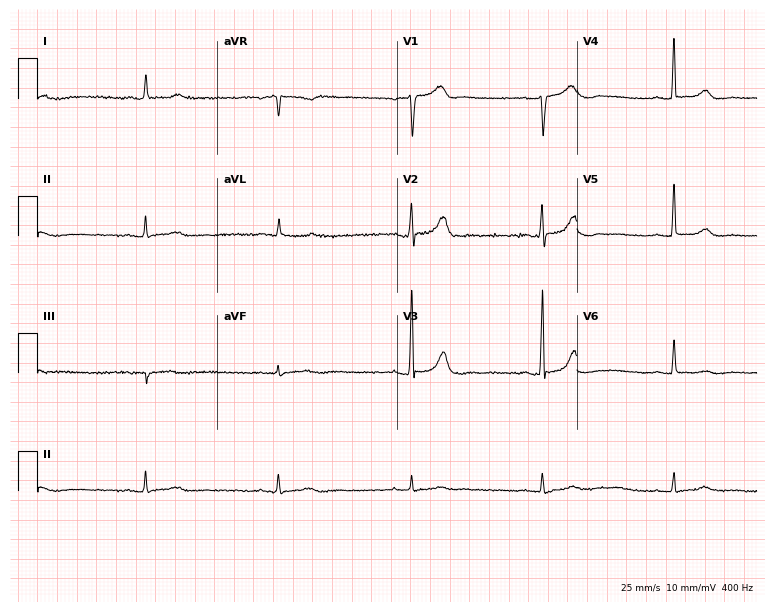
Standard 12-lead ECG recorded from a 78-year-old man. None of these six findings is recorded: first-degree AV block, right bundle branch block, left bundle branch block, sinus bradycardia, atrial fibrillation, sinus tachycardia.